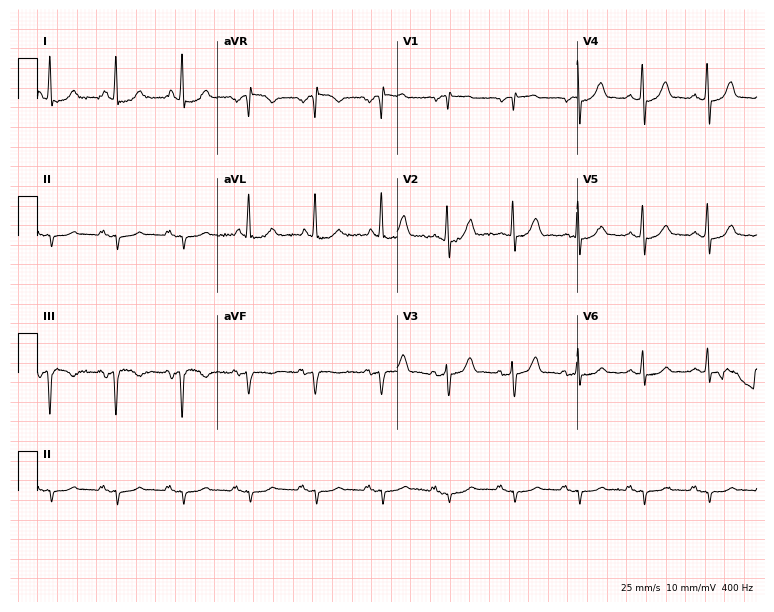
12-lead ECG from a 69-year-old male. No first-degree AV block, right bundle branch block, left bundle branch block, sinus bradycardia, atrial fibrillation or sinus tachycardia recorded for this tracing.